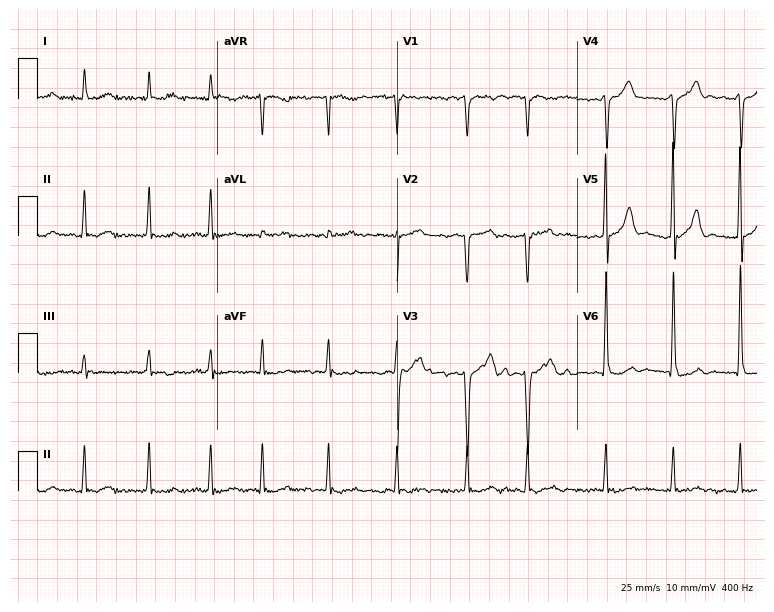
Standard 12-lead ECG recorded from a 68-year-old male patient (7.3-second recording at 400 Hz). None of these six findings is recorded: first-degree AV block, right bundle branch block, left bundle branch block, sinus bradycardia, atrial fibrillation, sinus tachycardia. Only these six findings were labelled.